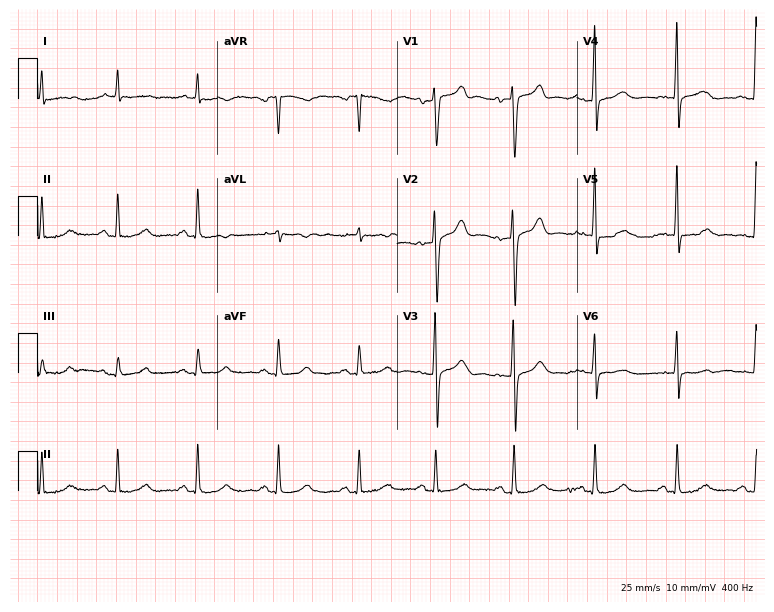
Resting 12-lead electrocardiogram. Patient: a male, 70 years old. None of these six findings is recorded: first-degree AV block, right bundle branch block, left bundle branch block, sinus bradycardia, atrial fibrillation, sinus tachycardia. Findings outside these six are not listed.